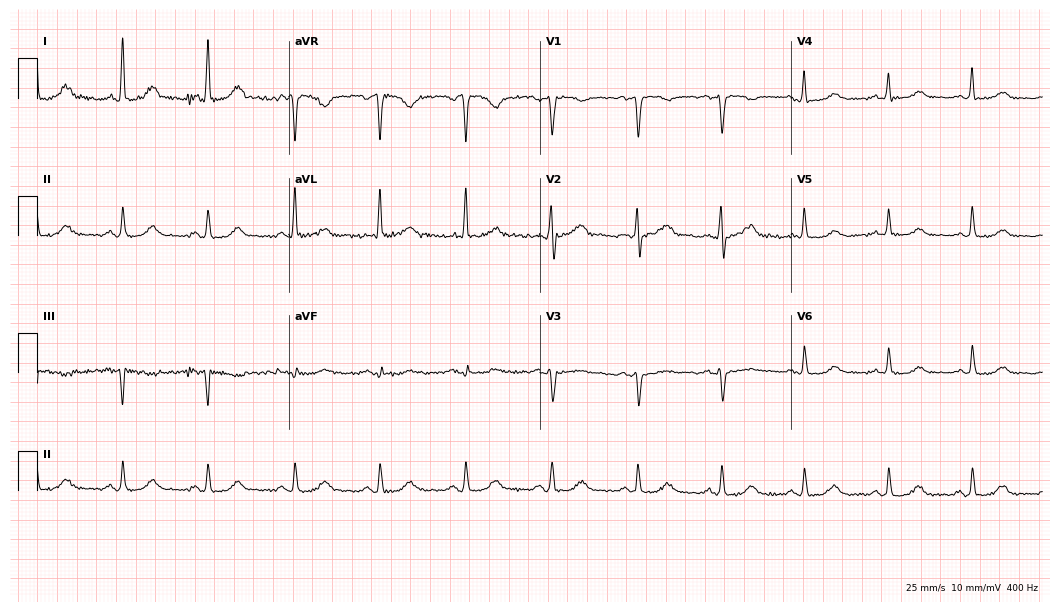
12-lead ECG (10.2-second recording at 400 Hz) from a 54-year-old woman. Labelled as a normal ECG.